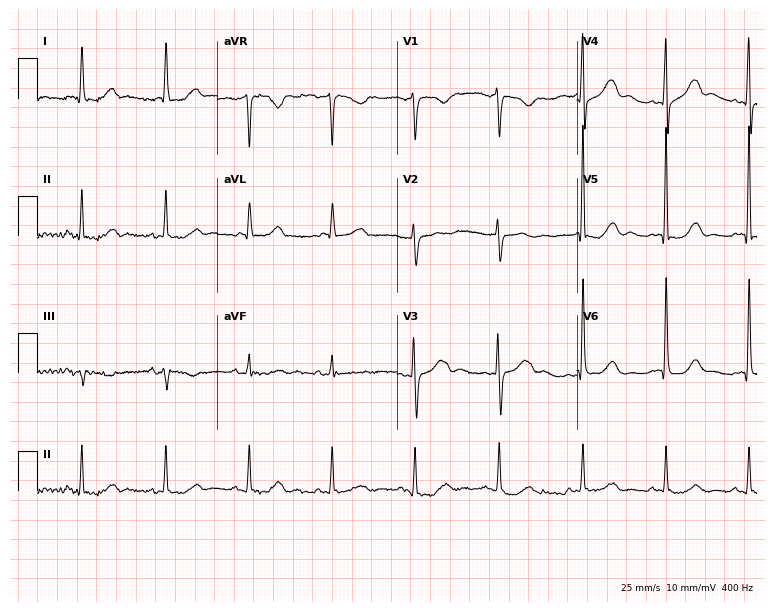
ECG — a female, 68 years old. Labelled as a normal ECG.